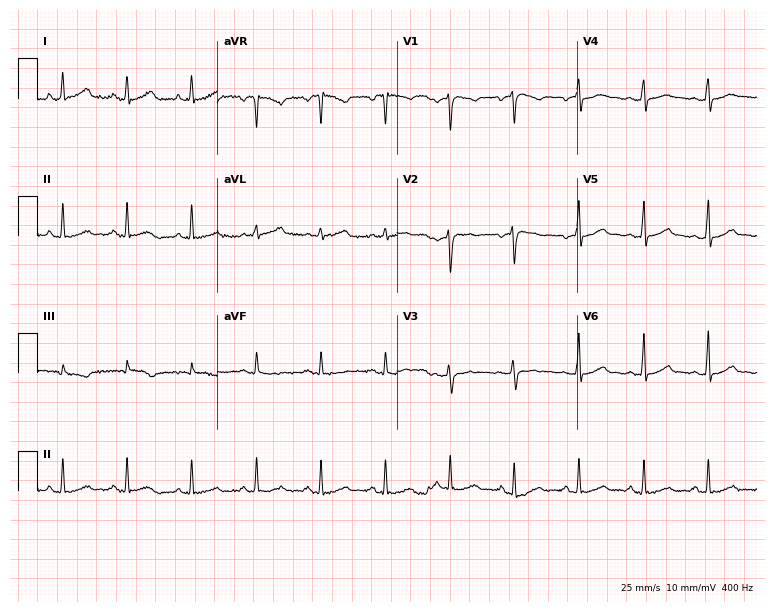
Electrocardiogram, a woman, 30 years old. Overall reading on record: normal ECG.